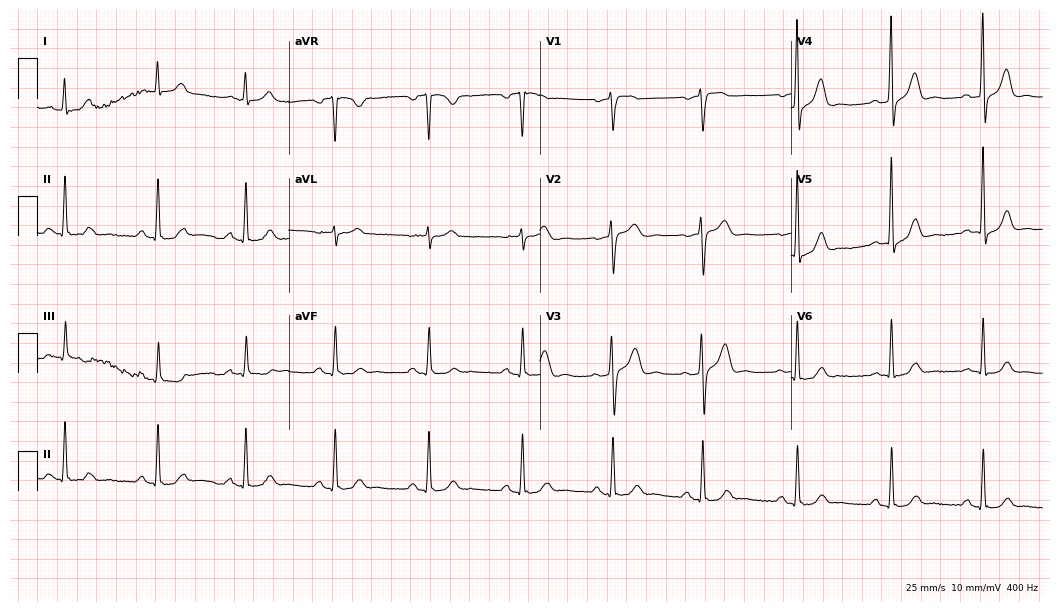
12-lead ECG from a 63-year-old male patient. Labelled as a normal ECG.